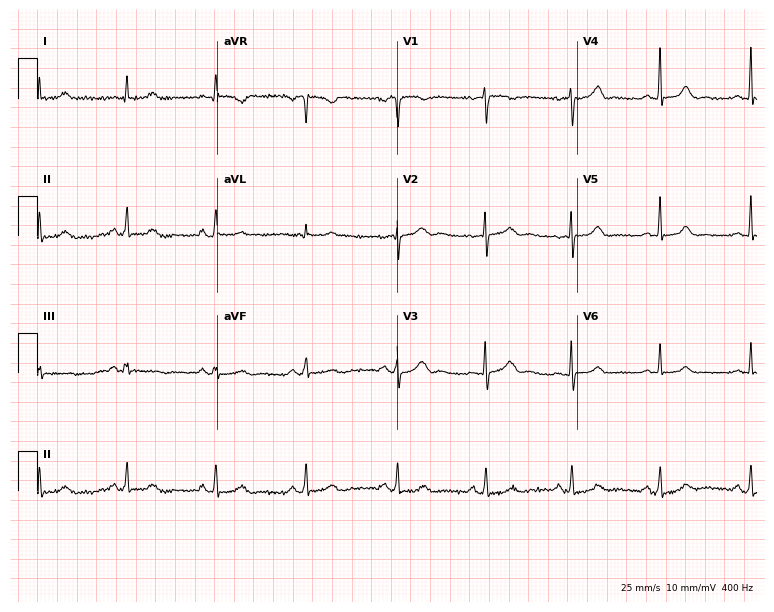
Resting 12-lead electrocardiogram (7.3-second recording at 400 Hz). Patient: a 29-year-old female. None of these six findings is recorded: first-degree AV block, right bundle branch block (RBBB), left bundle branch block (LBBB), sinus bradycardia, atrial fibrillation (AF), sinus tachycardia.